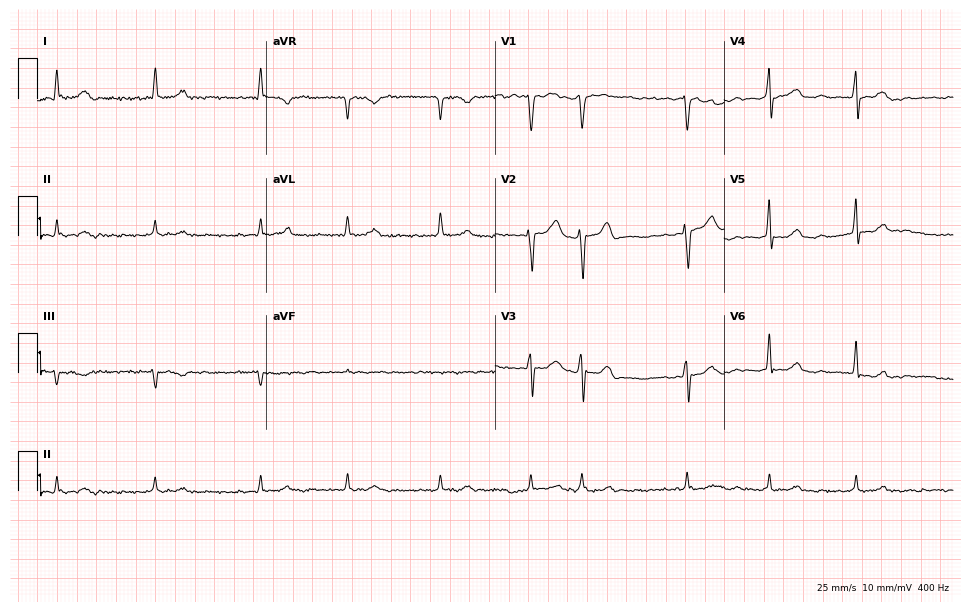
12-lead ECG from a 50-year-old male patient (9.3-second recording at 400 Hz). Shows atrial fibrillation (AF).